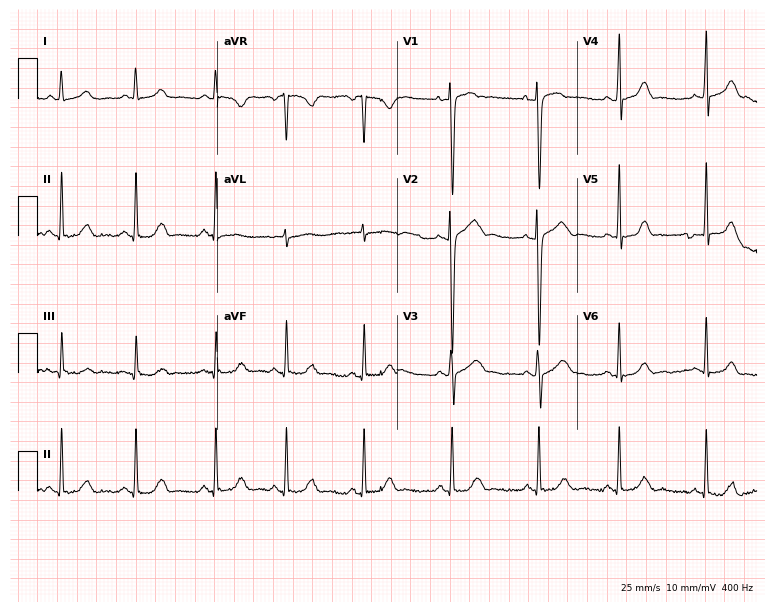
Electrocardiogram (7.3-second recording at 400 Hz), a woman, 19 years old. Overall reading on record: normal ECG.